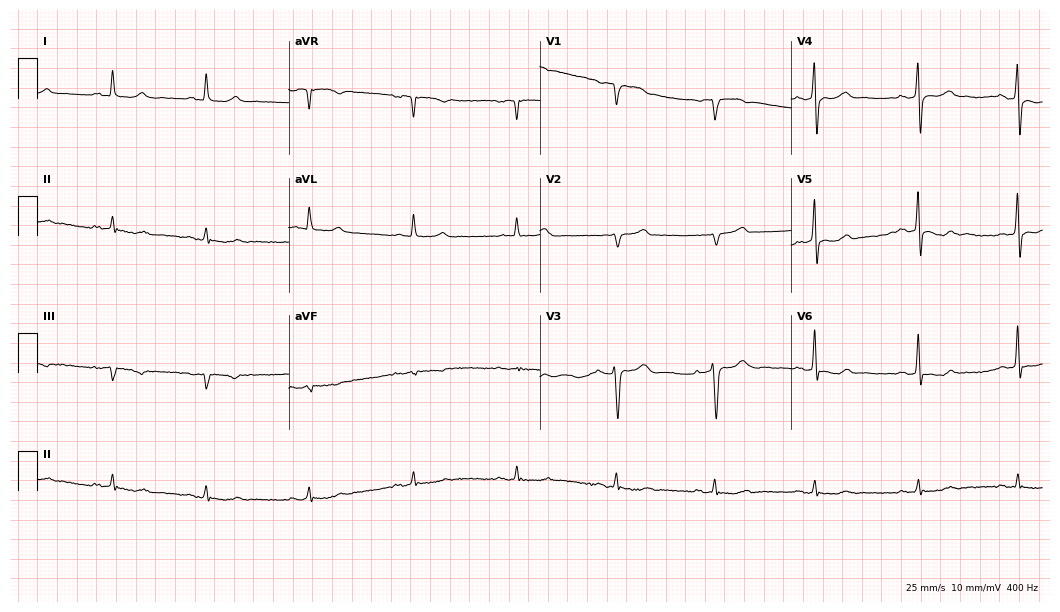
12-lead ECG from a male, 62 years old. Screened for six findings — first-degree AV block, right bundle branch block, left bundle branch block, sinus bradycardia, atrial fibrillation, sinus tachycardia — none is recorded.